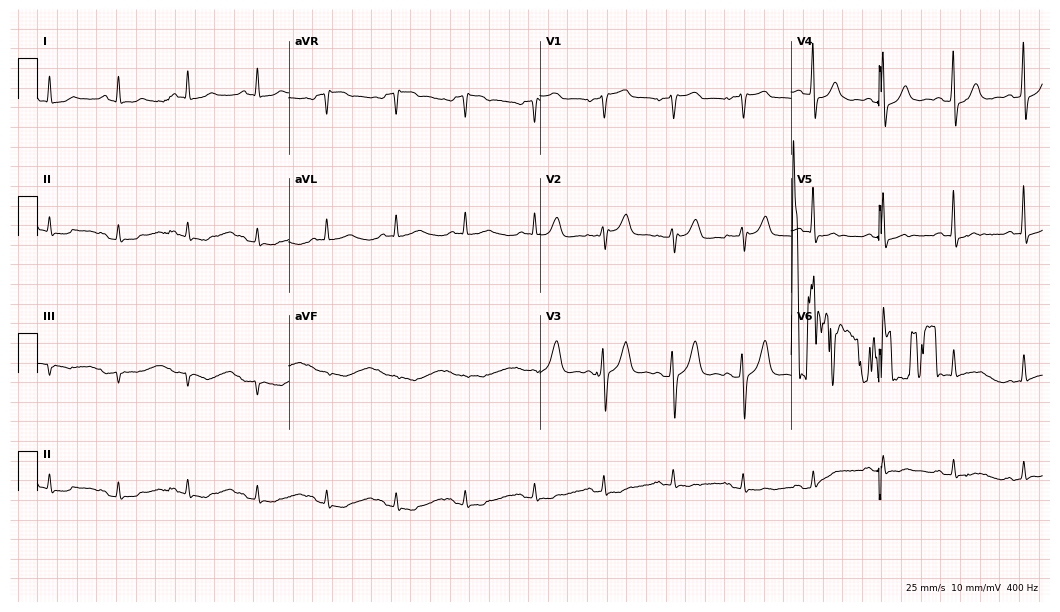
Electrocardiogram, a 75-year-old man. Of the six screened findings (first-degree AV block, right bundle branch block, left bundle branch block, sinus bradycardia, atrial fibrillation, sinus tachycardia), none is recorded.